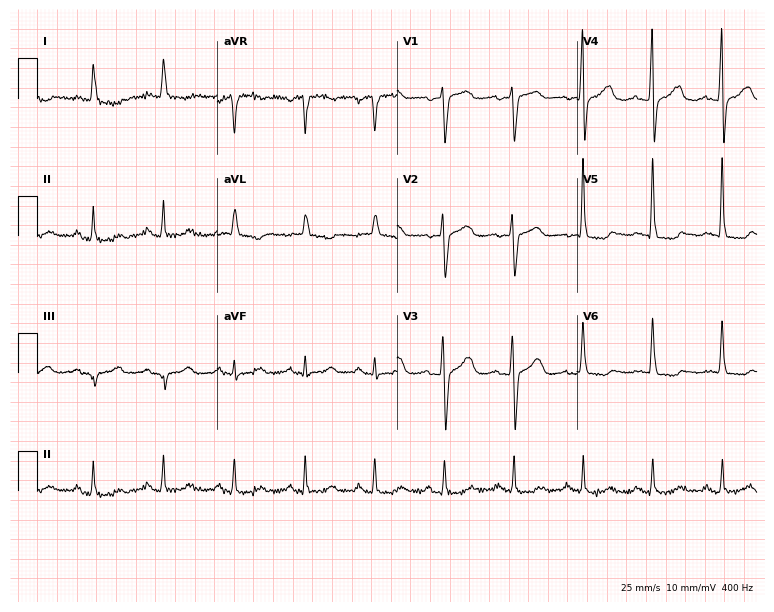
ECG — a woman, 77 years old. Screened for six findings — first-degree AV block, right bundle branch block, left bundle branch block, sinus bradycardia, atrial fibrillation, sinus tachycardia — none is recorded.